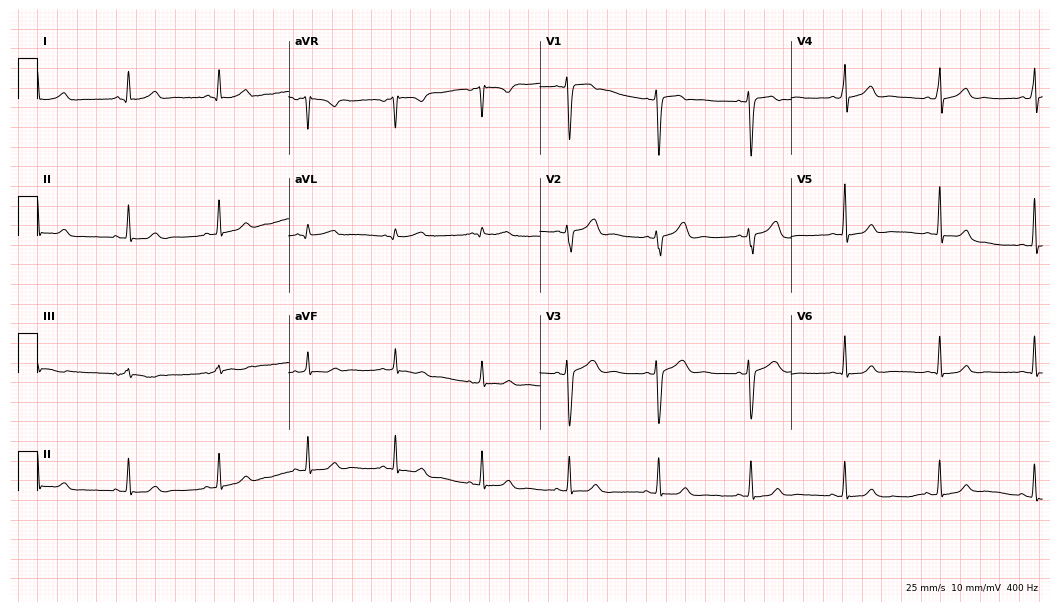
Standard 12-lead ECG recorded from a woman, 46 years old. Read as a normal ECG.